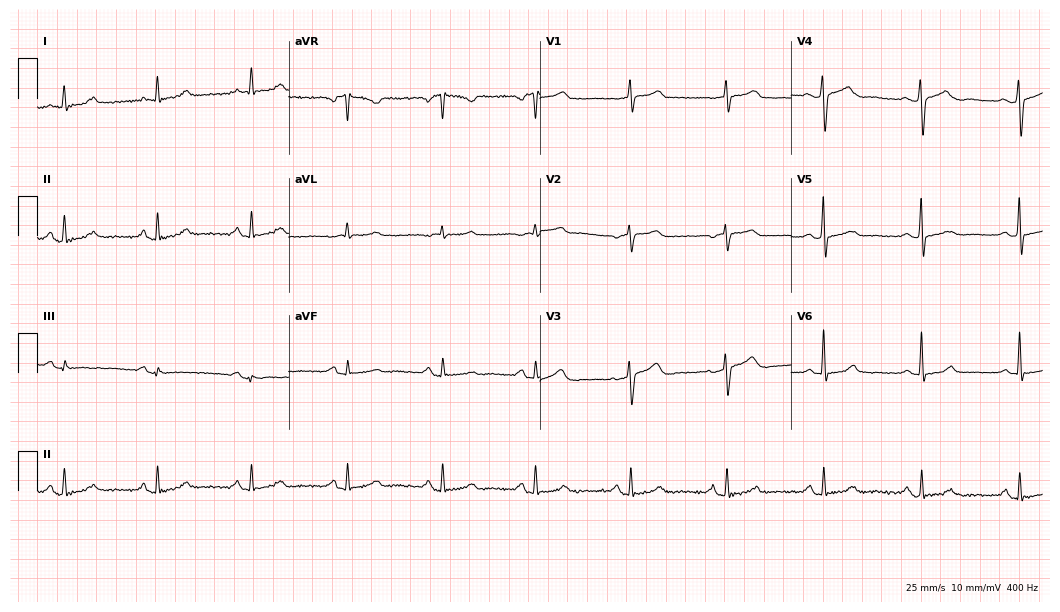
Electrocardiogram (10.2-second recording at 400 Hz), a 66-year-old female. Of the six screened findings (first-degree AV block, right bundle branch block, left bundle branch block, sinus bradycardia, atrial fibrillation, sinus tachycardia), none is recorded.